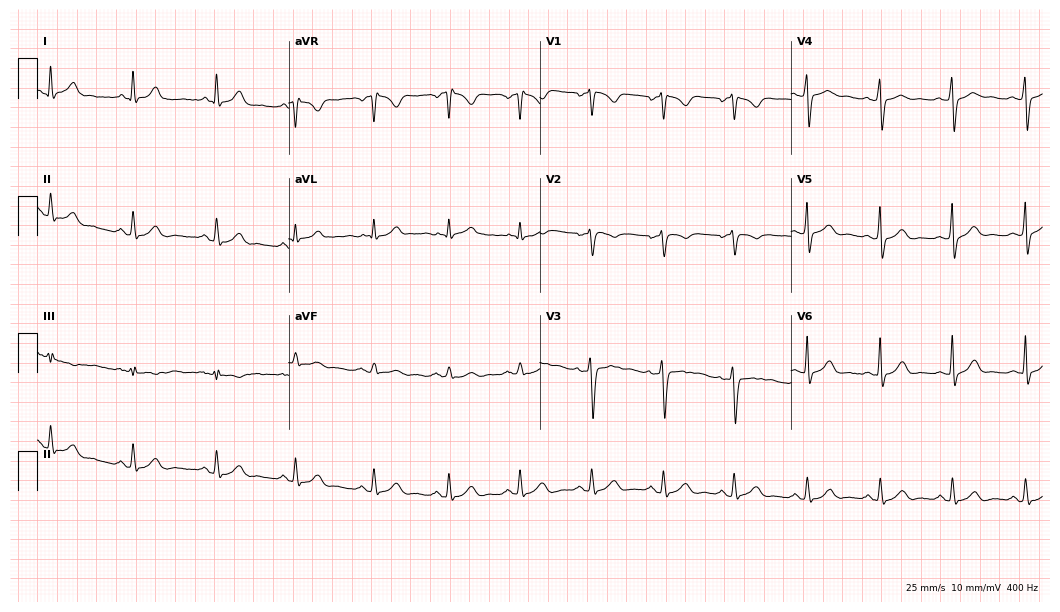
Standard 12-lead ECG recorded from a 33-year-old man (10.2-second recording at 400 Hz). Read as a normal ECG.